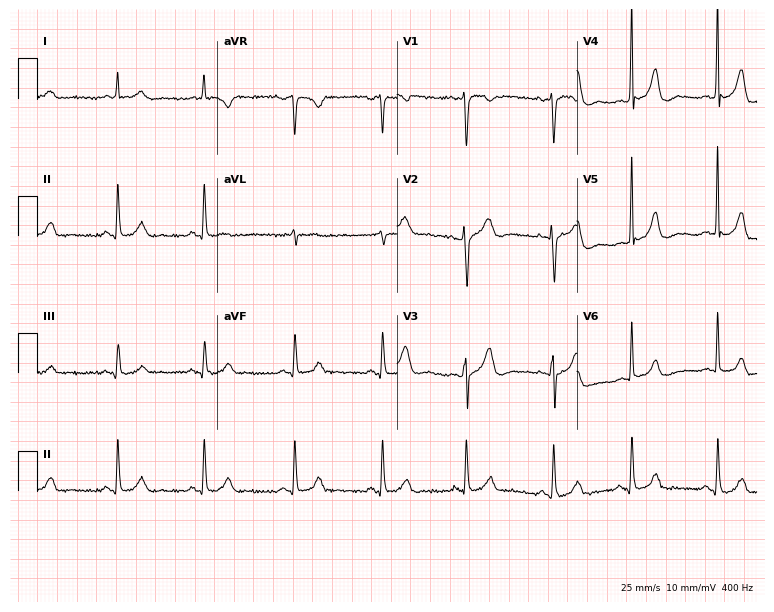
Standard 12-lead ECG recorded from a woman, 25 years old. Read as a normal ECG.